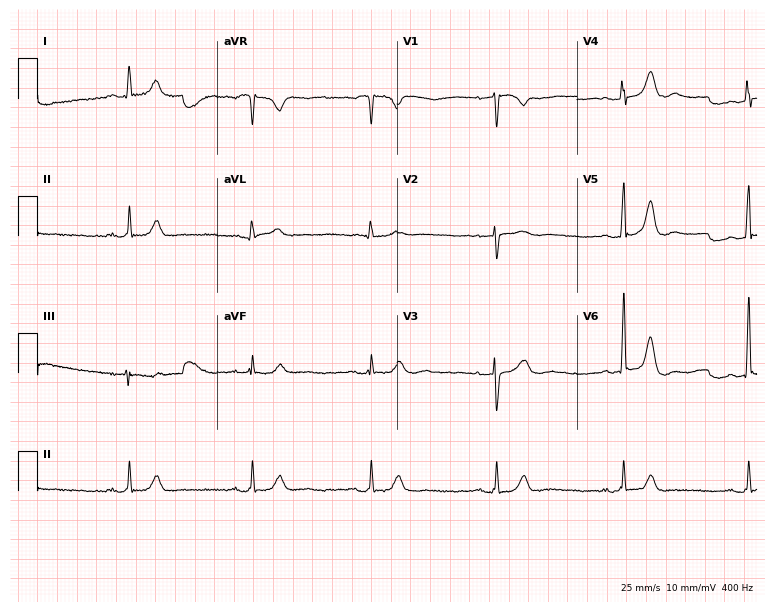
12-lead ECG (7.3-second recording at 400 Hz) from a 41-year-old female. Findings include sinus bradycardia (a sinus rate of 50 beats per minute or less).